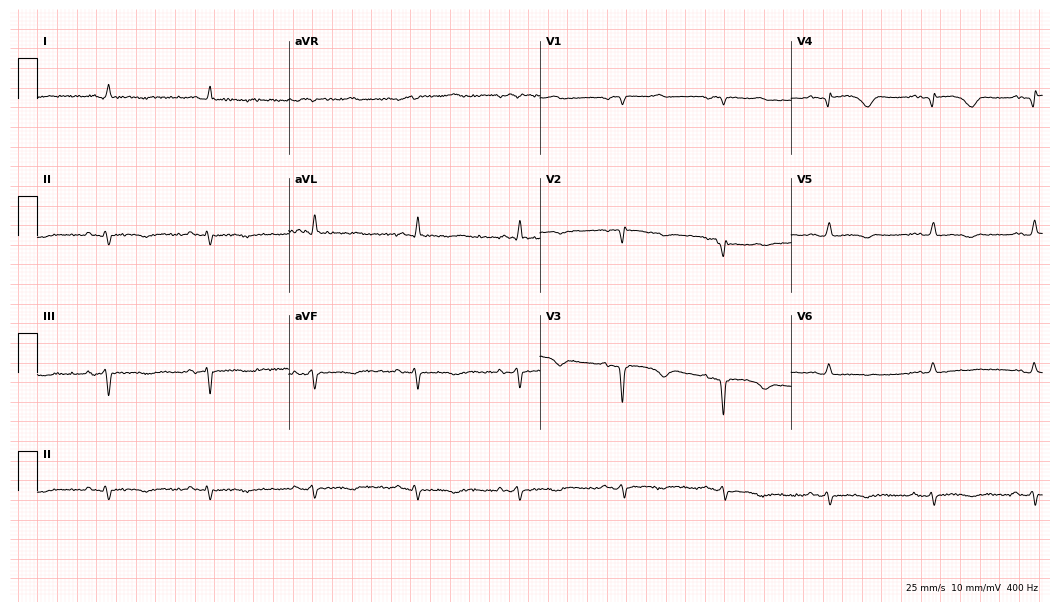
Standard 12-lead ECG recorded from an 83-year-old male. None of these six findings is recorded: first-degree AV block, right bundle branch block, left bundle branch block, sinus bradycardia, atrial fibrillation, sinus tachycardia. Only these six findings were labelled.